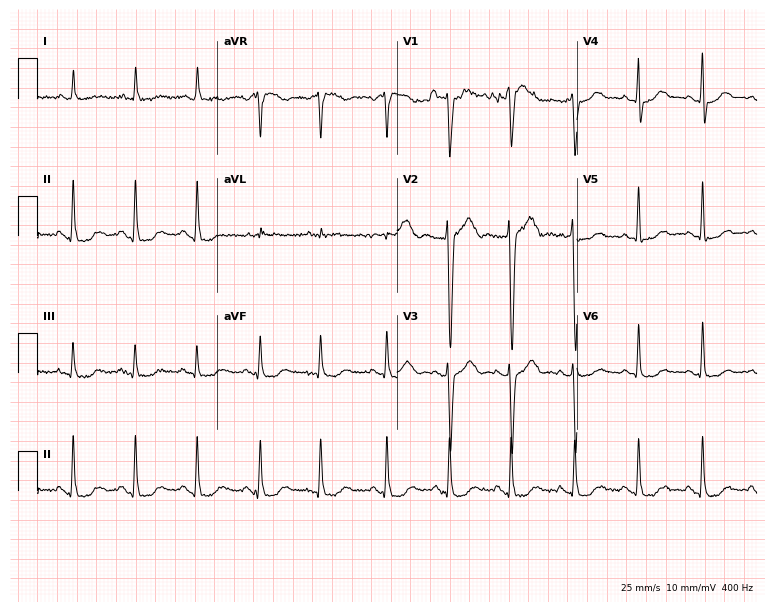
Electrocardiogram, a 67-year-old female patient. Of the six screened findings (first-degree AV block, right bundle branch block, left bundle branch block, sinus bradycardia, atrial fibrillation, sinus tachycardia), none is recorded.